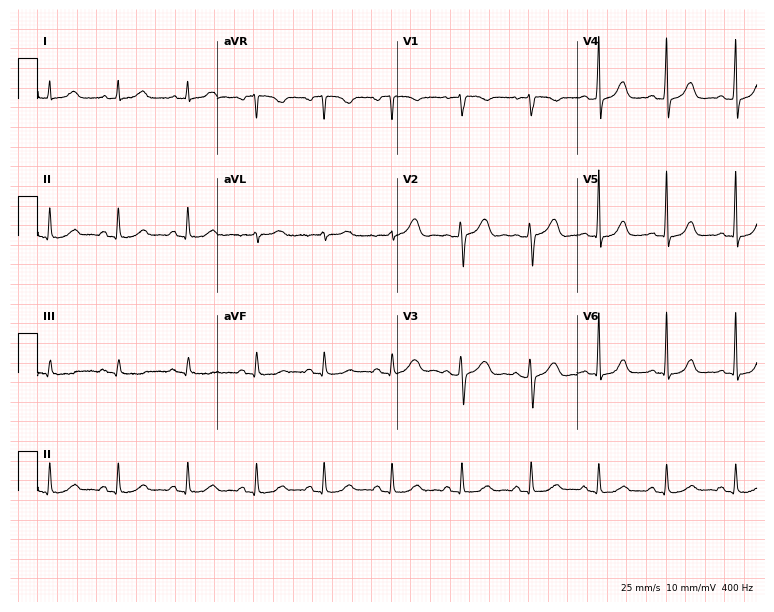
12-lead ECG (7.3-second recording at 400 Hz) from a 54-year-old female patient. Labelled as a normal ECG.